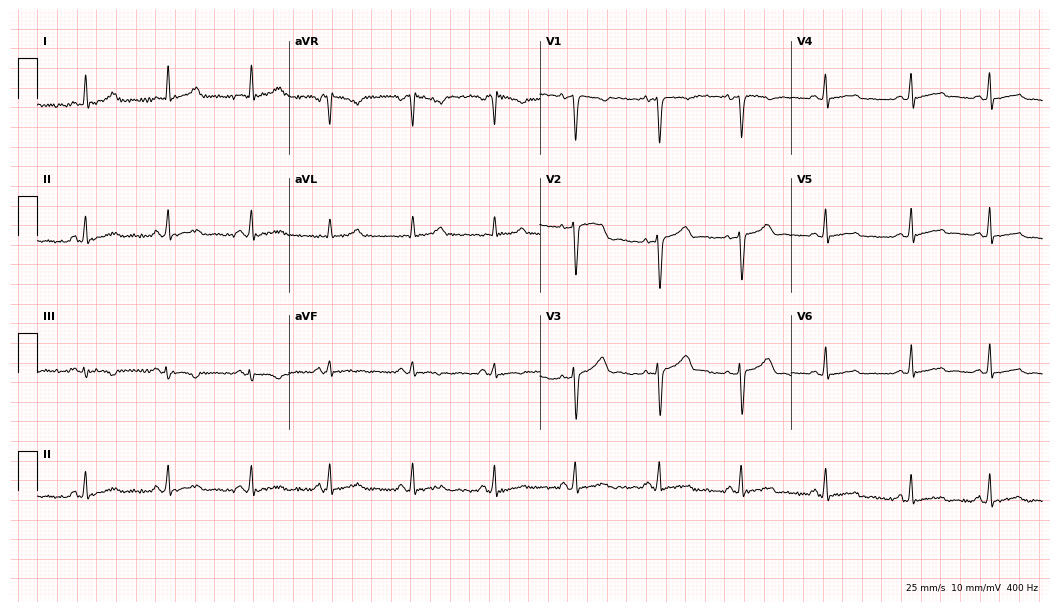
Standard 12-lead ECG recorded from a 30-year-old woman (10.2-second recording at 400 Hz). Read as a normal ECG.